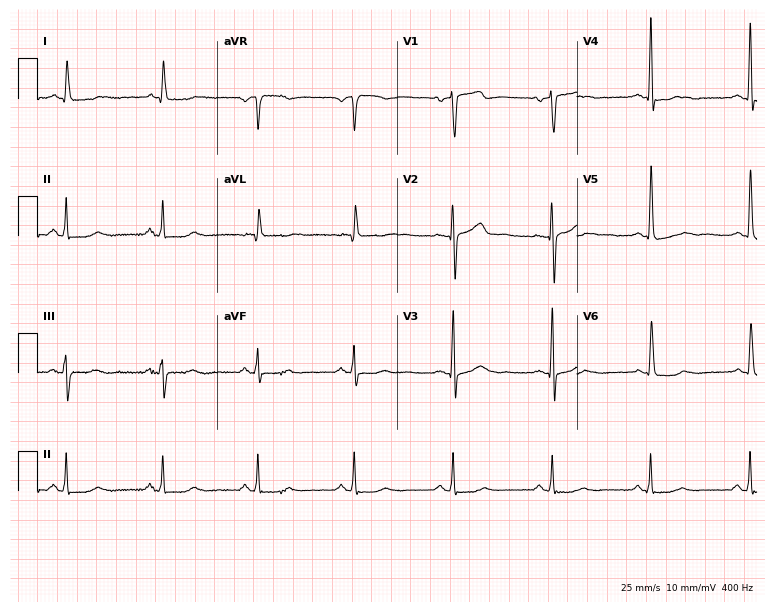
12-lead ECG from a man, 73 years old. Screened for six findings — first-degree AV block, right bundle branch block, left bundle branch block, sinus bradycardia, atrial fibrillation, sinus tachycardia — none is recorded.